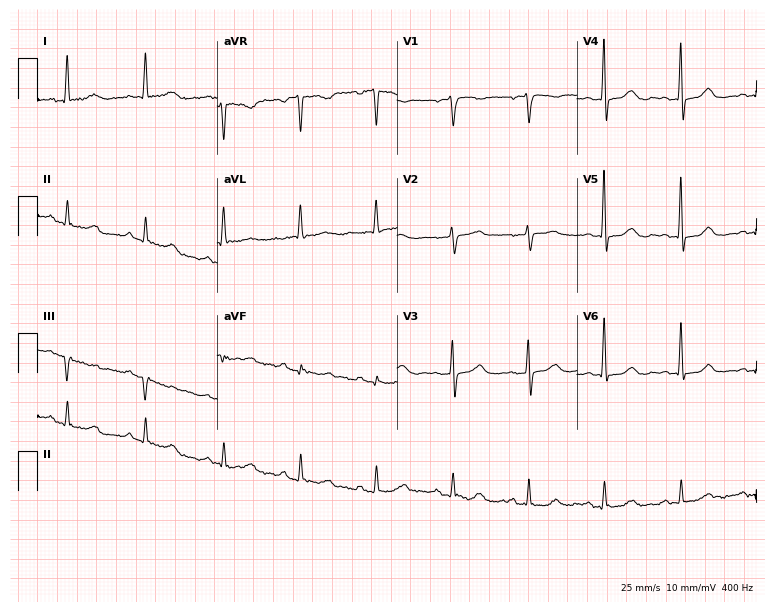
ECG — a 73-year-old woman. Screened for six findings — first-degree AV block, right bundle branch block, left bundle branch block, sinus bradycardia, atrial fibrillation, sinus tachycardia — none is recorded.